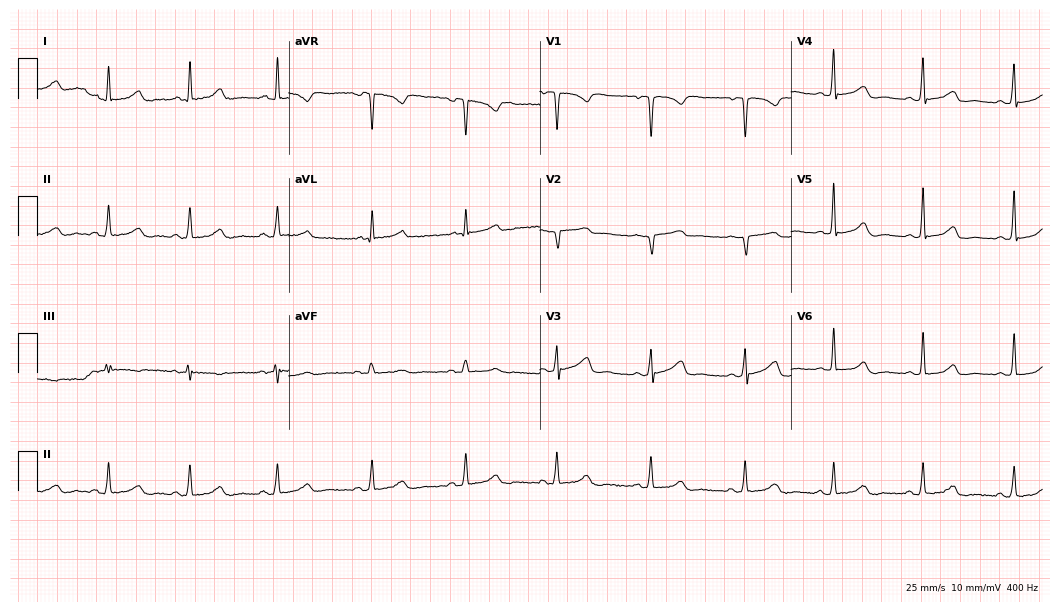
Electrocardiogram (10.2-second recording at 400 Hz), a 33-year-old female patient. Of the six screened findings (first-degree AV block, right bundle branch block, left bundle branch block, sinus bradycardia, atrial fibrillation, sinus tachycardia), none is recorded. Other findings, if any, are not listed.